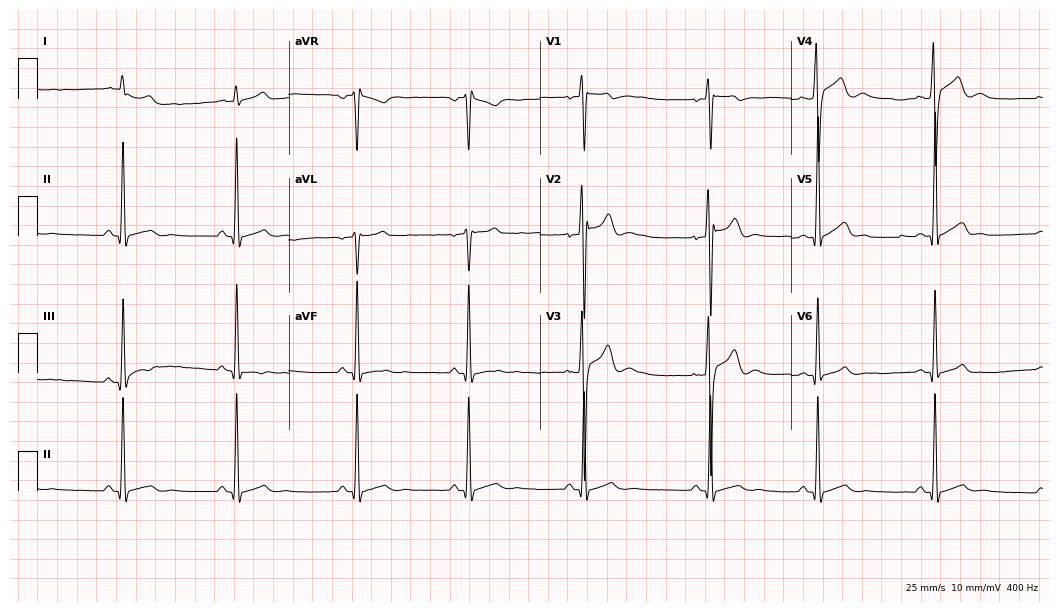
Standard 12-lead ECG recorded from a 21-year-old man. None of these six findings is recorded: first-degree AV block, right bundle branch block (RBBB), left bundle branch block (LBBB), sinus bradycardia, atrial fibrillation (AF), sinus tachycardia.